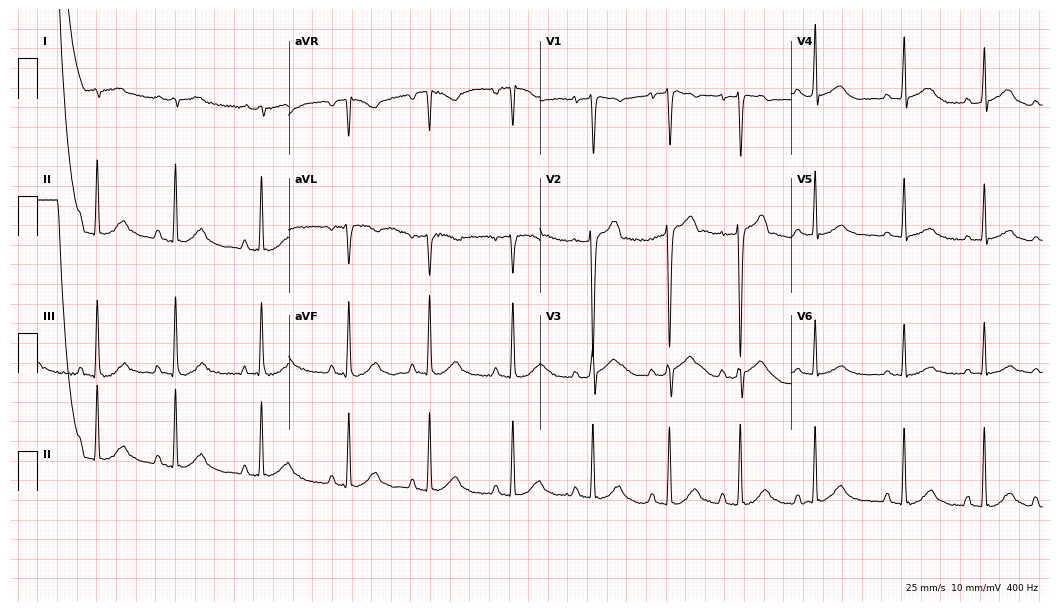
Resting 12-lead electrocardiogram. Patient: a male, 17 years old. None of these six findings is recorded: first-degree AV block, right bundle branch block (RBBB), left bundle branch block (LBBB), sinus bradycardia, atrial fibrillation (AF), sinus tachycardia.